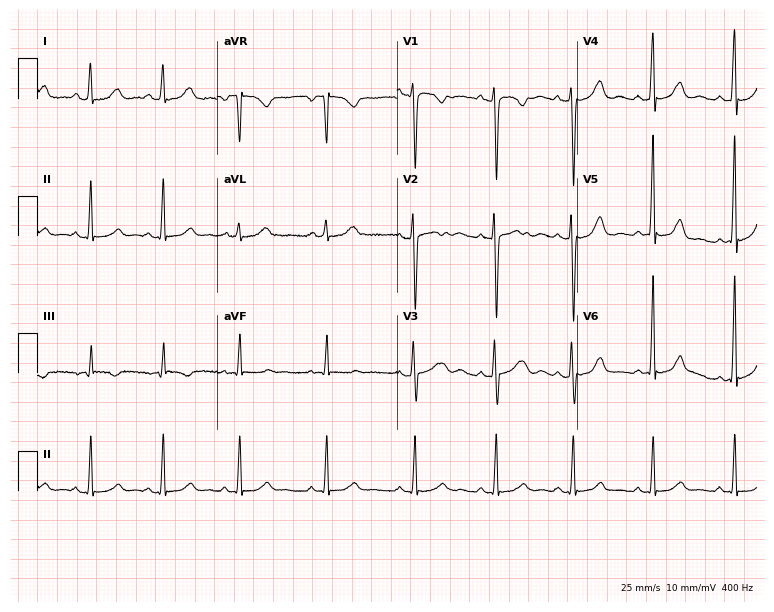
12-lead ECG (7.3-second recording at 400 Hz) from a 33-year-old woman. Labelled as a normal ECG.